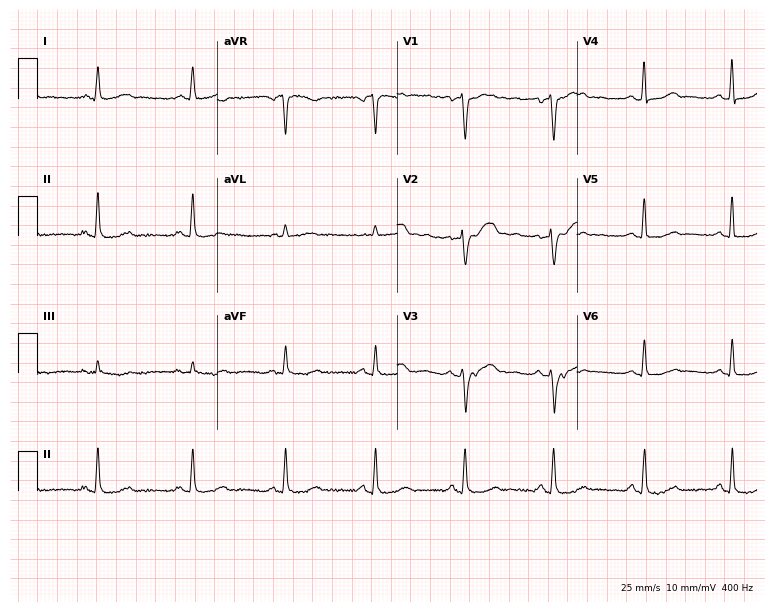
Standard 12-lead ECG recorded from a female patient, 48 years old (7.3-second recording at 400 Hz). Read as a normal ECG.